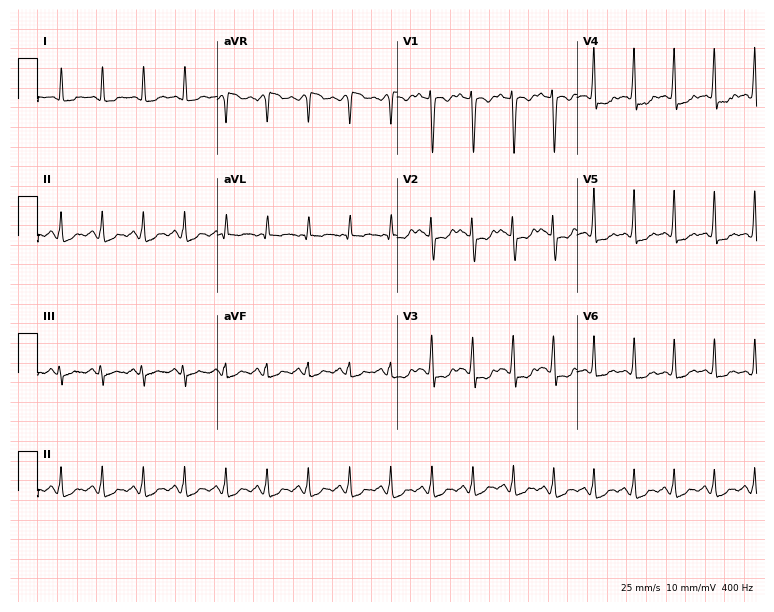
ECG (7.3-second recording at 400 Hz) — a female patient, 43 years old. Findings include sinus tachycardia (a sinus rate of 100 beats per minute or more).